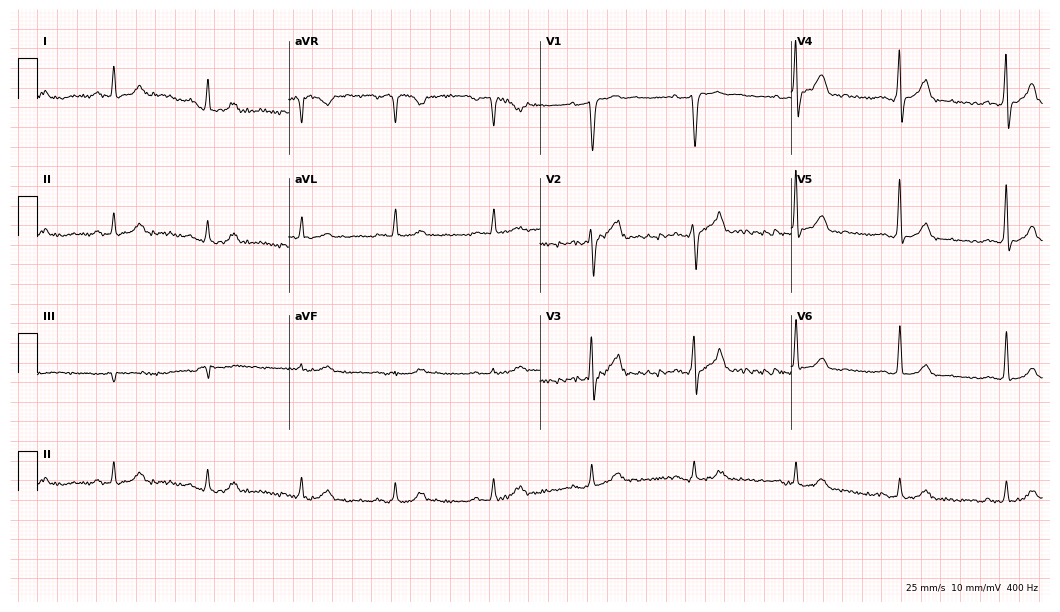
Resting 12-lead electrocardiogram. Patient: a 60-year-old male. Read as a normal ECG.